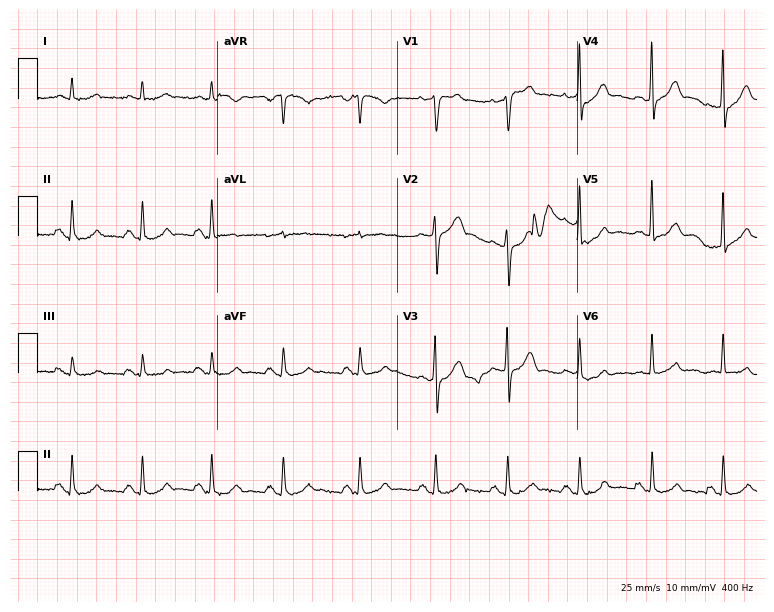
Electrocardiogram, a male, 64 years old. Of the six screened findings (first-degree AV block, right bundle branch block, left bundle branch block, sinus bradycardia, atrial fibrillation, sinus tachycardia), none is recorded.